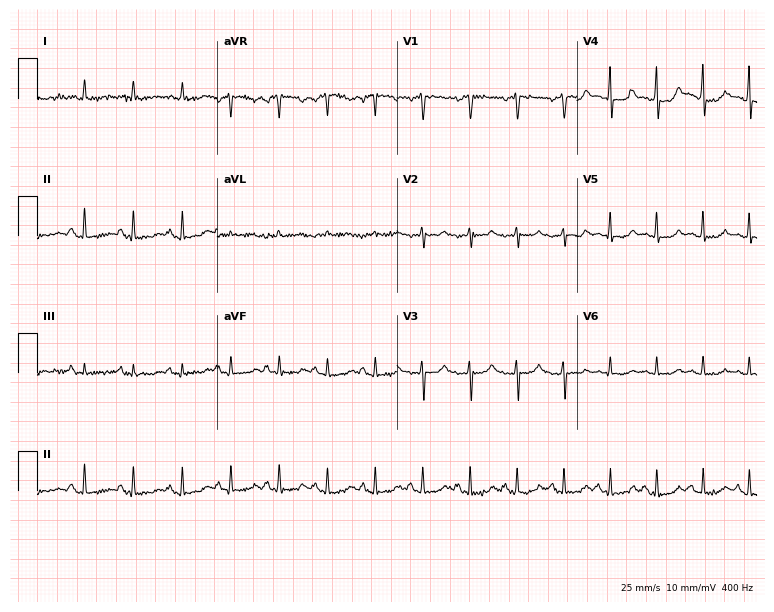
12-lead ECG (7.3-second recording at 400 Hz) from a female, 36 years old. Findings include sinus tachycardia (a sinus rate of 100 beats per minute or more).